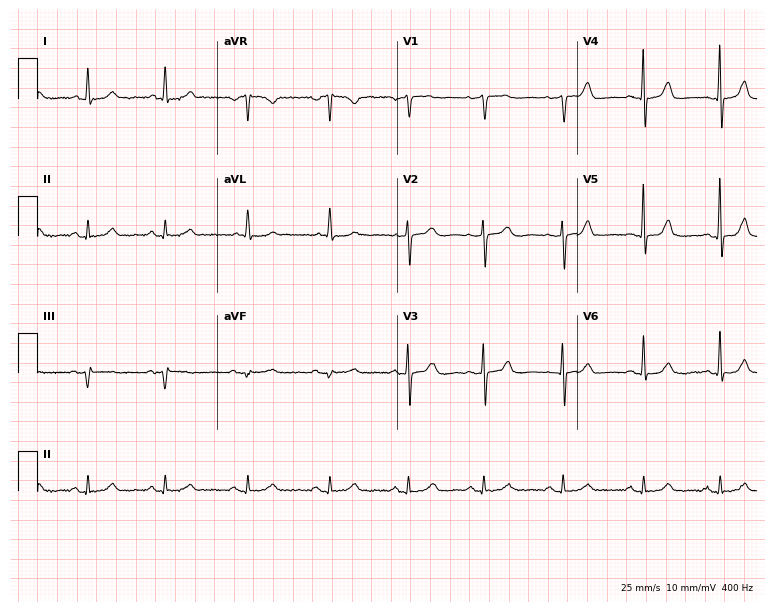
12-lead ECG from a female, 62 years old. Labelled as a normal ECG.